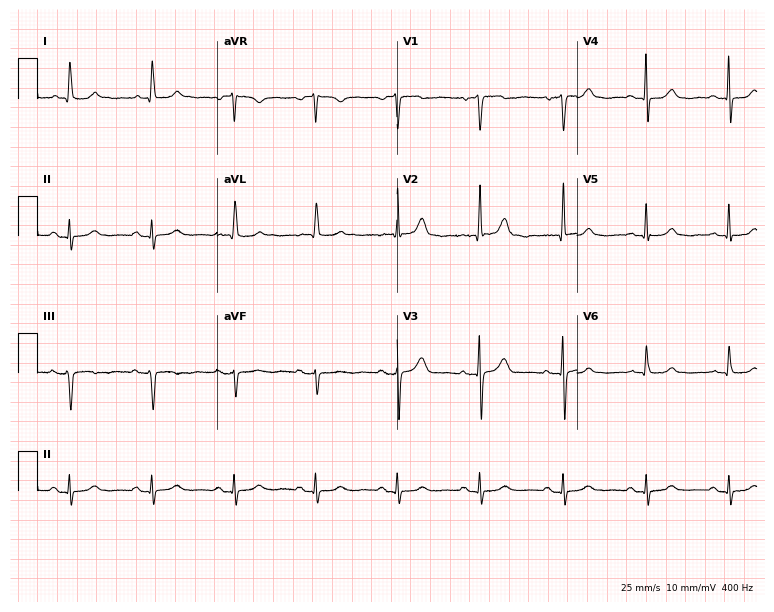
12-lead ECG from a female, 82 years old (7.3-second recording at 400 Hz). Recorded interpretation: within normal limits.